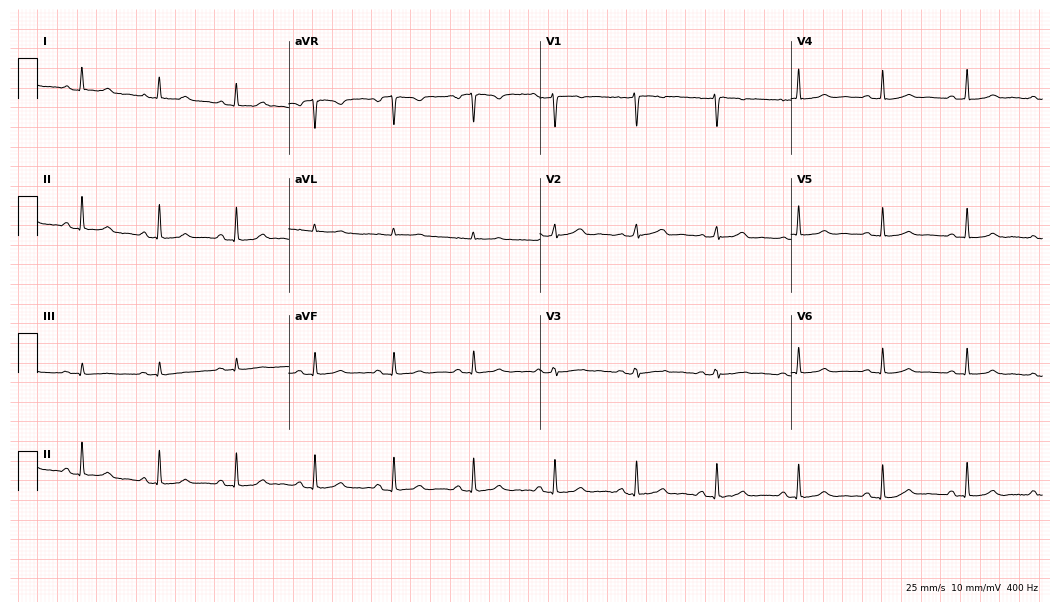
Resting 12-lead electrocardiogram. Patient: a female, 40 years old. Read as a normal ECG.